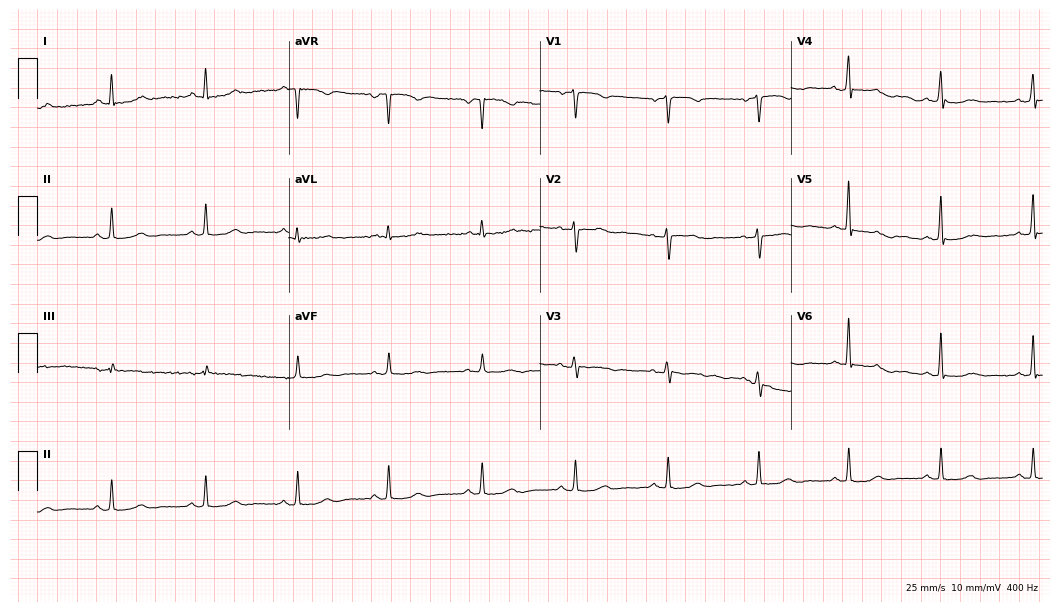
Standard 12-lead ECG recorded from a female, 58 years old (10.2-second recording at 400 Hz). Read as a normal ECG.